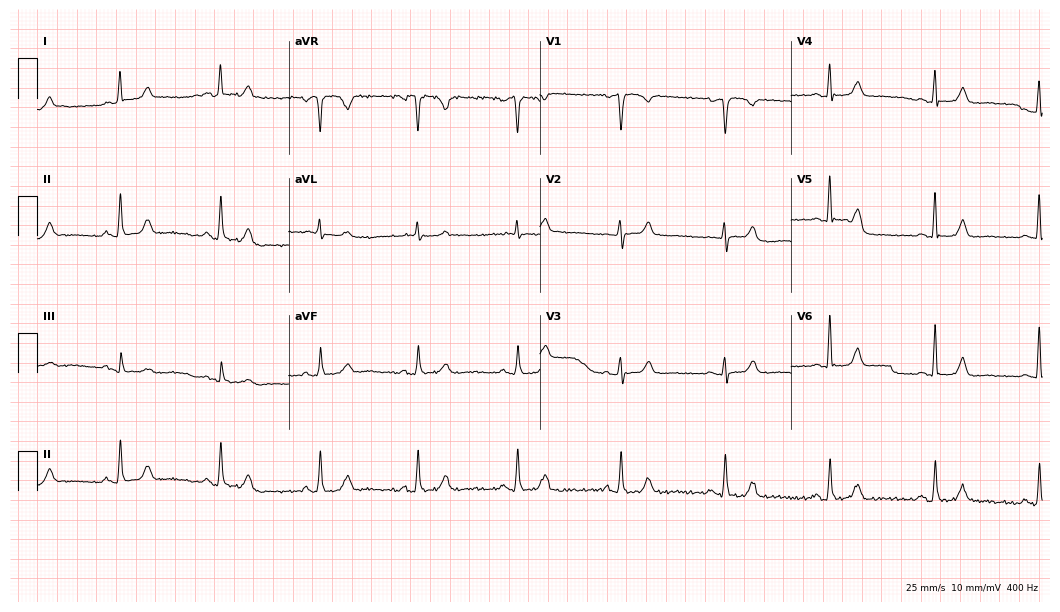
12-lead ECG (10.2-second recording at 400 Hz) from a female patient, 59 years old. Screened for six findings — first-degree AV block, right bundle branch block (RBBB), left bundle branch block (LBBB), sinus bradycardia, atrial fibrillation (AF), sinus tachycardia — none is recorded. Other findings, if any, are not listed.